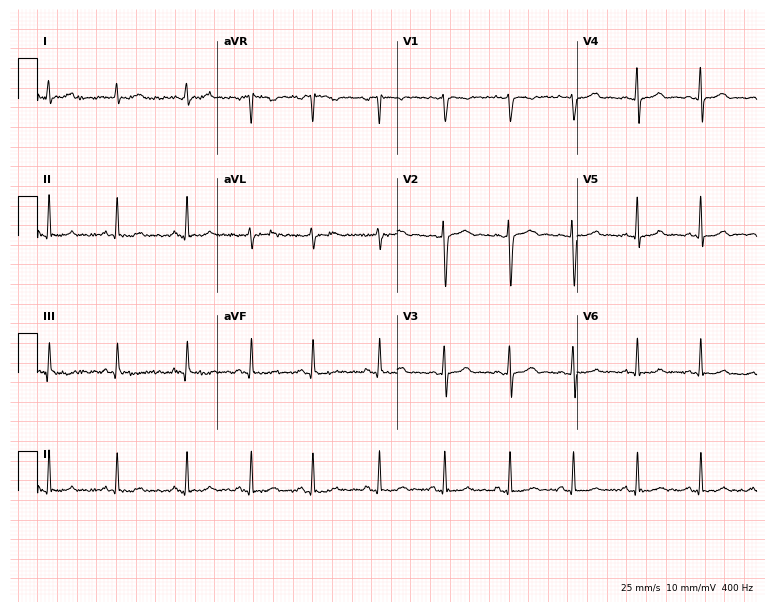
12-lead ECG from a 20-year-old female (7.3-second recording at 400 Hz). No first-degree AV block, right bundle branch block, left bundle branch block, sinus bradycardia, atrial fibrillation or sinus tachycardia recorded for this tracing. Only these six findings were labelled.